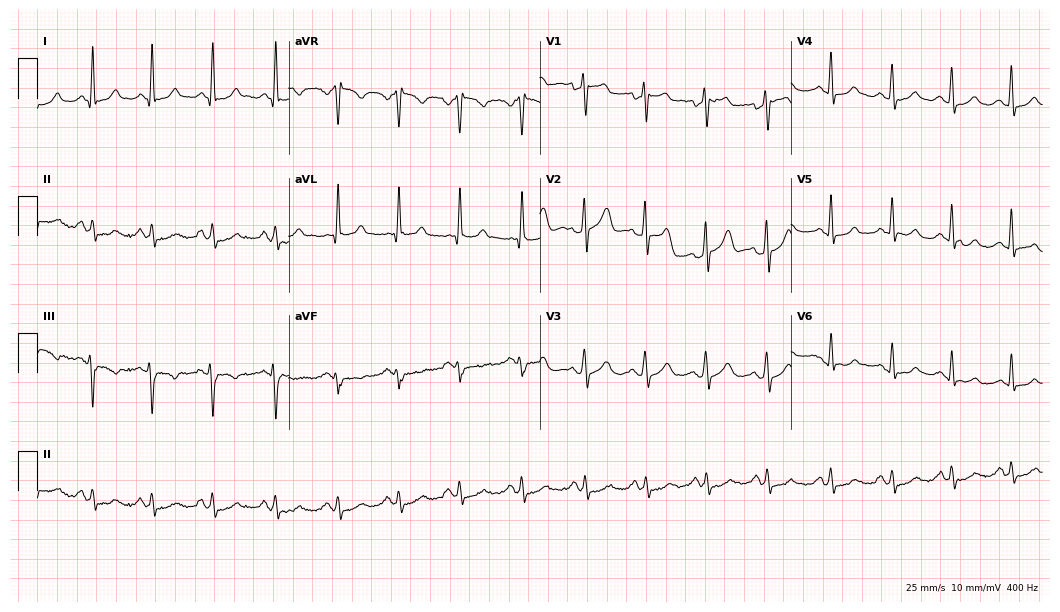
Resting 12-lead electrocardiogram. Patient: a female, 45 years old. Read as a normal ECG.